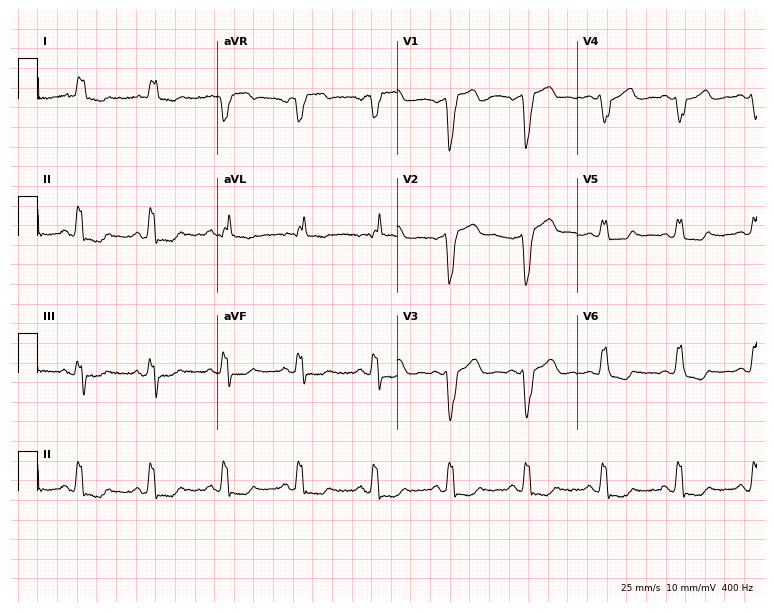
12-lead ECG from a female, 72 years old. No first-degree AV block, right bundle branch block (RBBB), left bundle branch block (LBBB), sinus bradycardia, atrial fibrillation (AF) or sinus tachycardia recorded for this tracing. Findings outside these six are not listed.